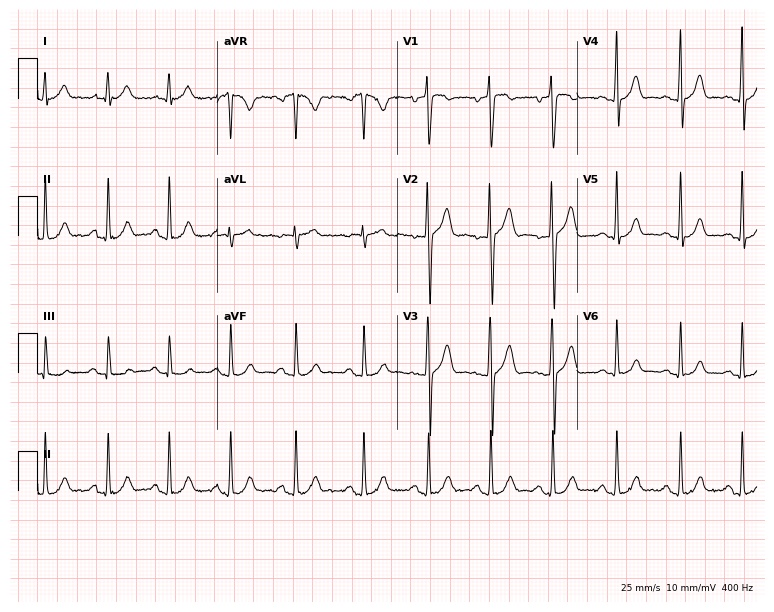
12-lead ECG from a male, 21 years old. Recorded interpretation: within normal limits.